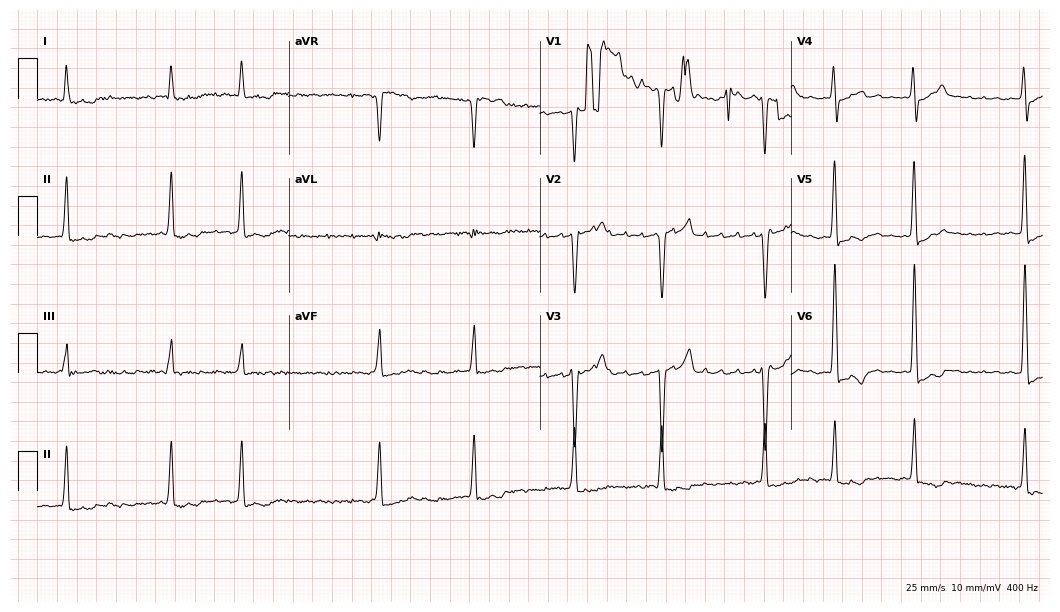
ECG — a 66-year-old man. Screened for six findings — first-degree AV block, right bundle branch block, left bundle branch block, sinus bradycardia, atrial fibrillation, sinus tachycardia — none is recorded. Only these six findings were labelled.